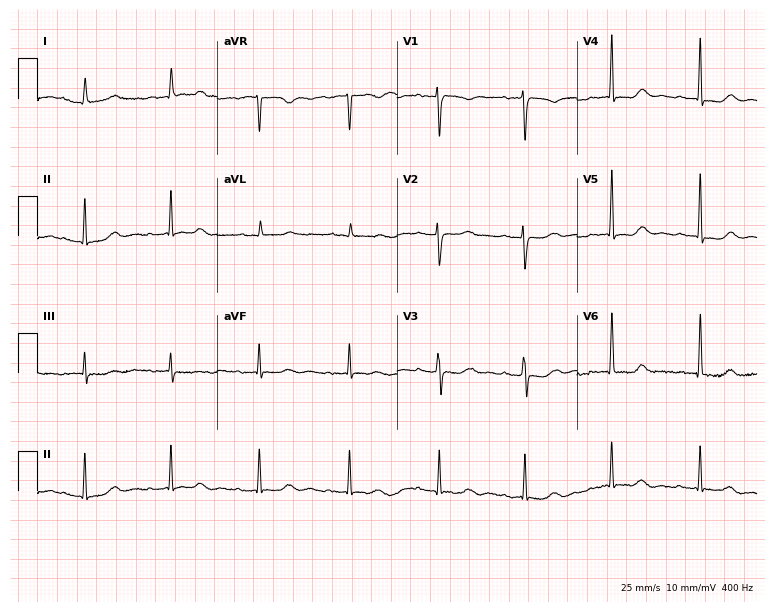
12-lead ECG from a female patient, 64 years old. Findings include first-degree AV block.